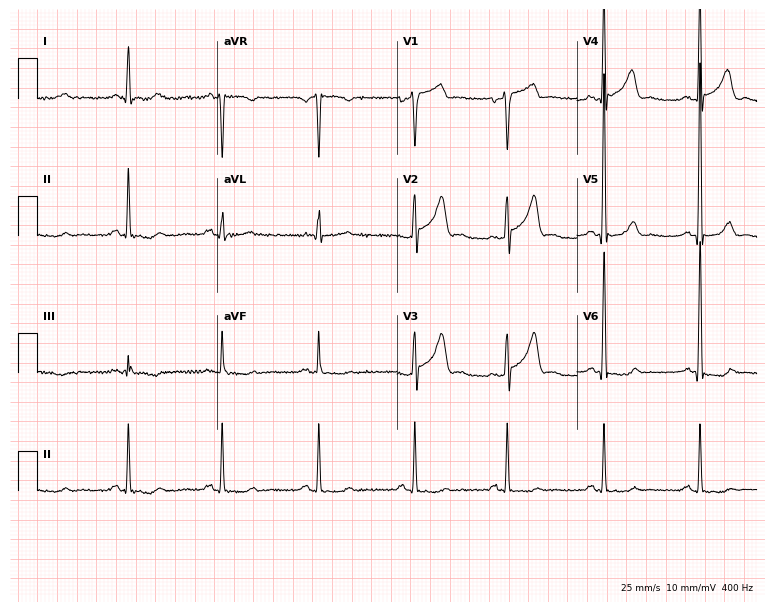
Resting 12-lead electrocardiogram (7.3-second recording at 400 Hz). Patient: a man, 58 years old. None of these six findings is recorded: first-degree AV block, right bundle branch block, left bundle branch block, sinus bradycardia, atrial fibrillation, sinus tachycardia. Only these six findings were labelled.